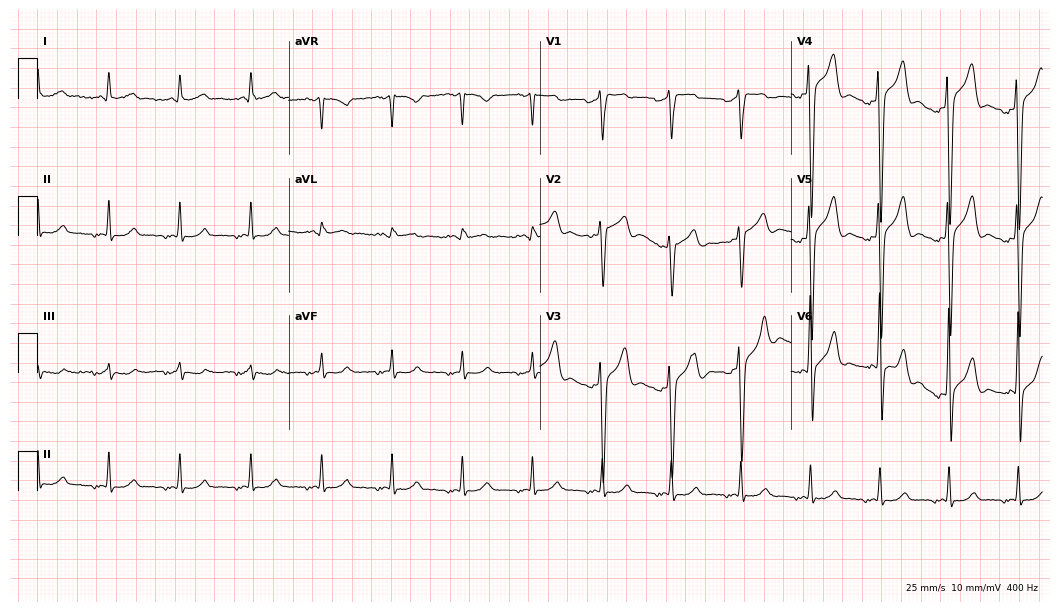
12-lead ECG from a male, 51 years old. No first-degree AV block, right bundle branch block (RBBB), left bundle branch block (LBBB), sinus bradycardia, atrial fibrillation (AF) or sinus tachycardia recorded for this tracing.